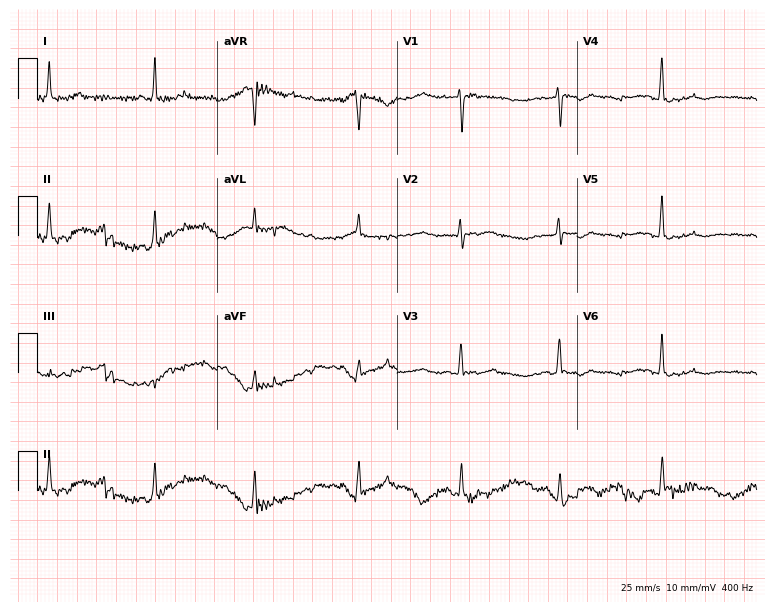
Resting 12-lead electrocardiogram (7.3-second recording at 400 Hz). Patient: a 63-year-old female. None of these six findings is recorded: first-degree AV block, right bundle branch block, left bundle branch block, sinus bradycardia, atrial fibrillation, sinus tachycardia. Other findings, if any, are not listed.